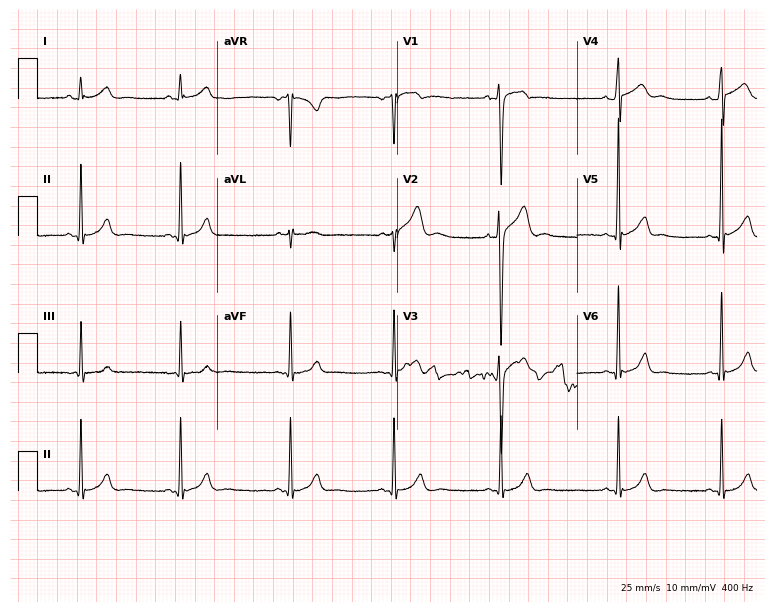
Electrocardiogram (7.3-second recording at 400 Hz), a 19-year-old male patient. Overall reading on record: normal ECG.